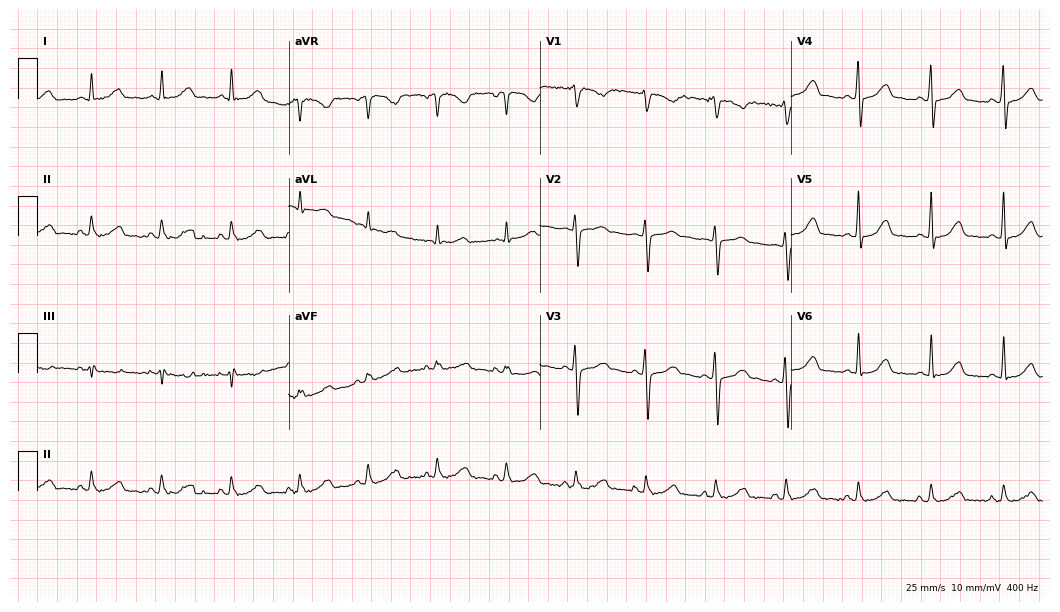
12-lead ECG from a 27-year-old woman. Labelled as a normal ECG.